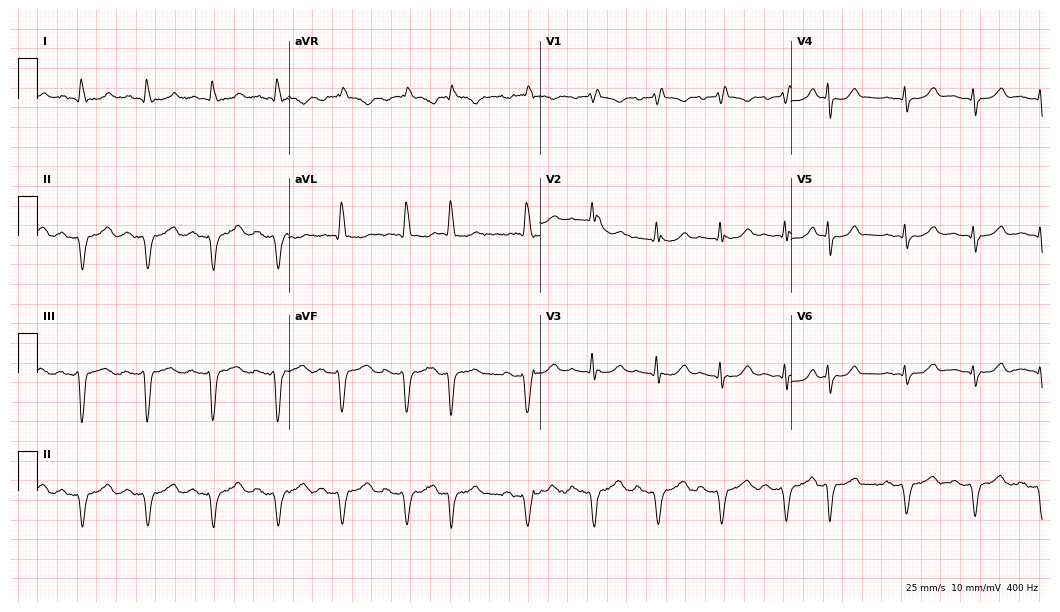
ECG (10.2-second recording at 400 Hz) — an 83-year-old woman. Findings include right bundle branch block.